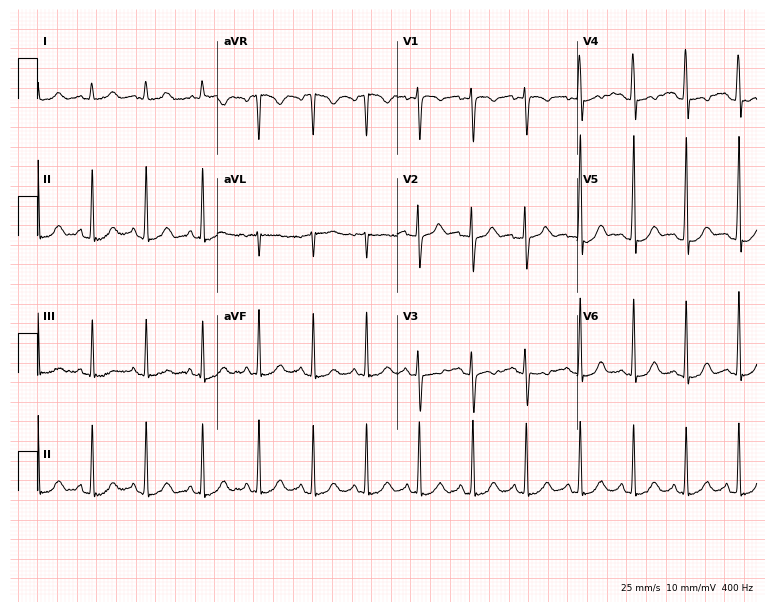
Resting 12-lead electrocardiogram (7.3-second recording at 400 Hz). Patient: a 20-year-old female. None of these six findings is recorded: first-degree AV block, right bundle branch block (RBBB), left bundle branch block (LBBB), sinus bradycardia, atrial fibrillation (AF), sinus tachycardia.